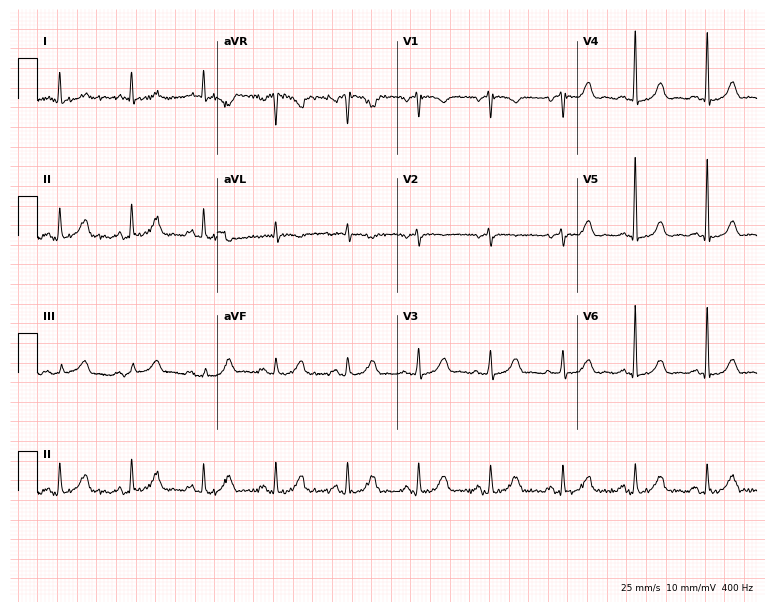
Resting 12-lead electrocardiogram (7.3-second recording at 400 Hz). Patient: a 78-year-old female. Read as a normal ECG.